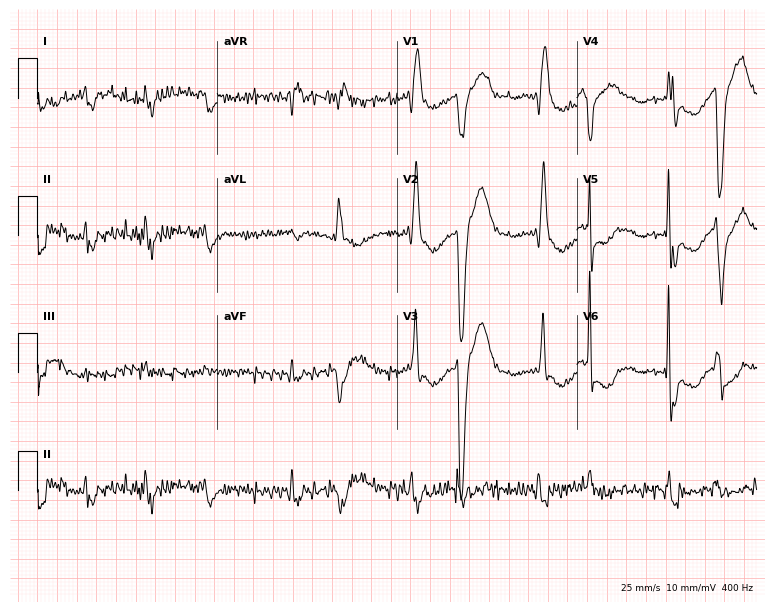
12-lead ECG from a 54-year-old female patient. Screened for six findings — first-degree AV block, right bundle branch block (RBBB), left bundle branch block (LBBB), sinus bradycardia, atrial fibrillation (AF), sinus tachycardia — none is recorded.